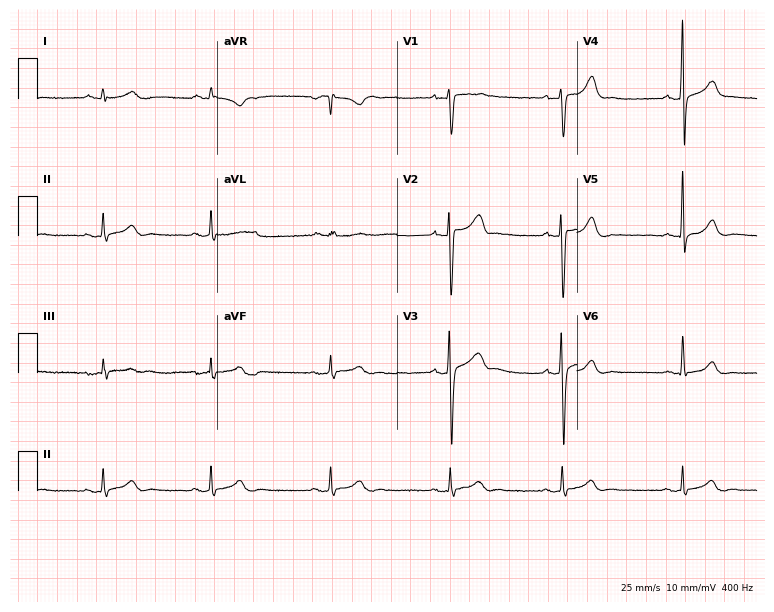
Resting 12-lead electrocardiogram (7.3-second recording at 400 Hz). Patient: a 28-year-old man. The tracing shows sinus bradycardia (a sinus rate of 50 beats per minute or less).